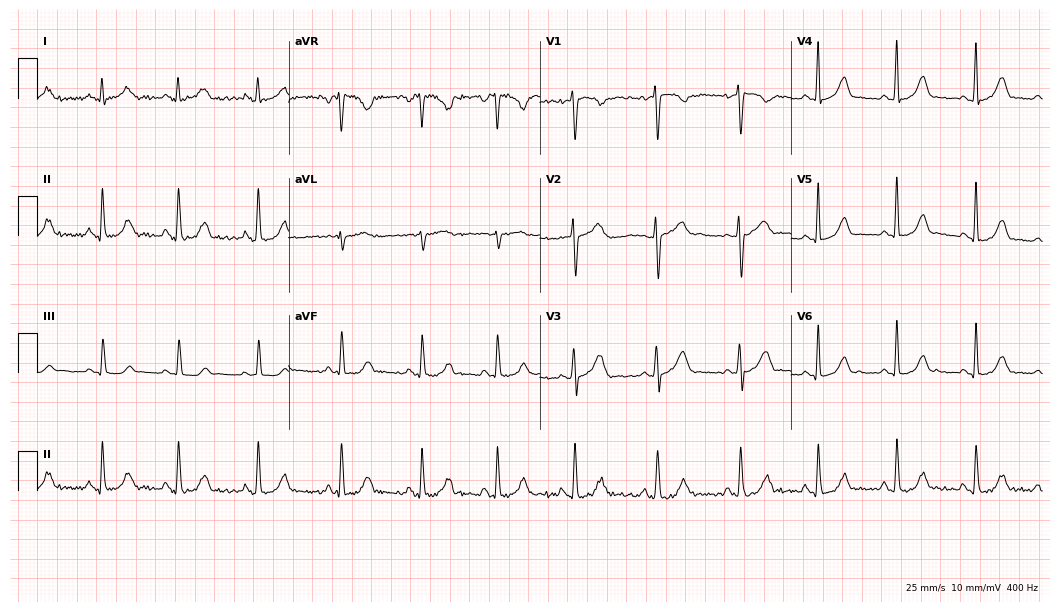
Standard 12-lead ECG recorded from a 25-year-old woman. Read as a normal ECG.